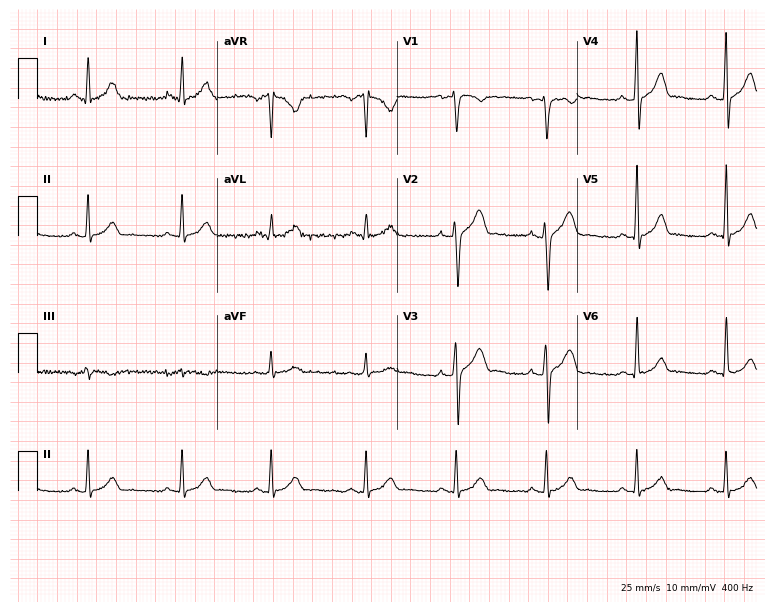
12-lead ECG (7.3-second recording at 400 Hz) from a male, 35 years old. Screened for six findings — first-degree AV block, right bundle branch block, left bundle branch block, sinus bradycardia, atrial fibrillation, sinus tachycardia — none is recorded.